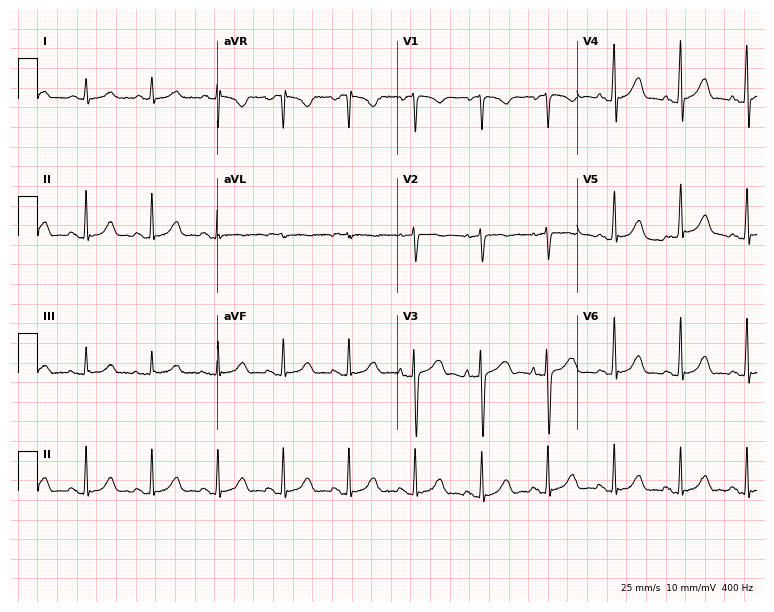
Electrocardiogram, a male patient, 64 years old. Overall reading on record: normal ECG.